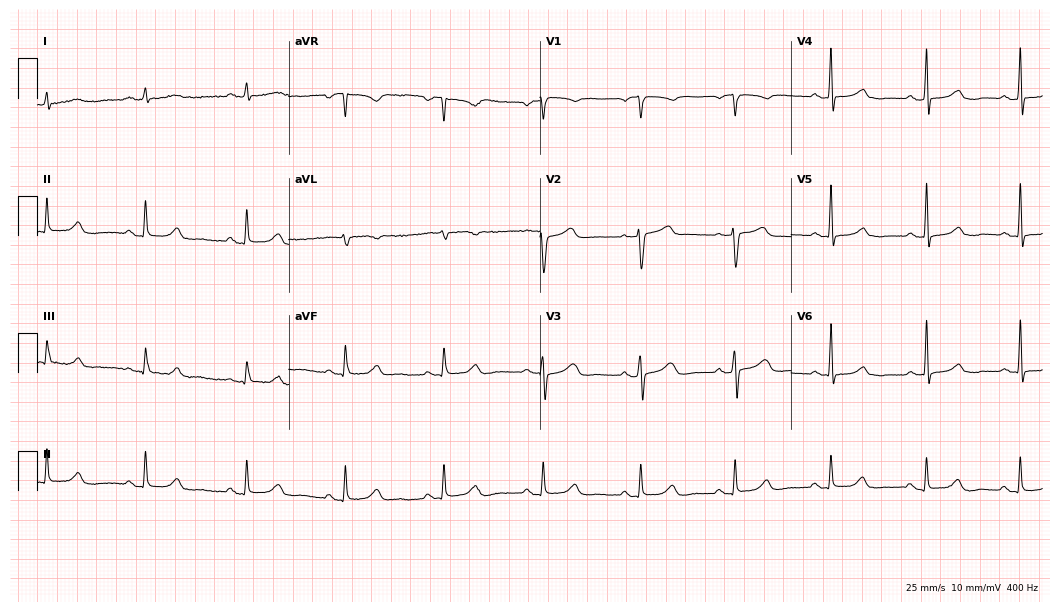
Resting 12-lead electrocardiogram. Patient: a 53-year-old woman. None of these six findings is recorded: first-degree AV block, right bundle branch block (RBBB), left bundle branch block (LBBB), sinus bradycardia, atrial fibrillation (AF), sinus tachycardia. Only these six findings were labelled.